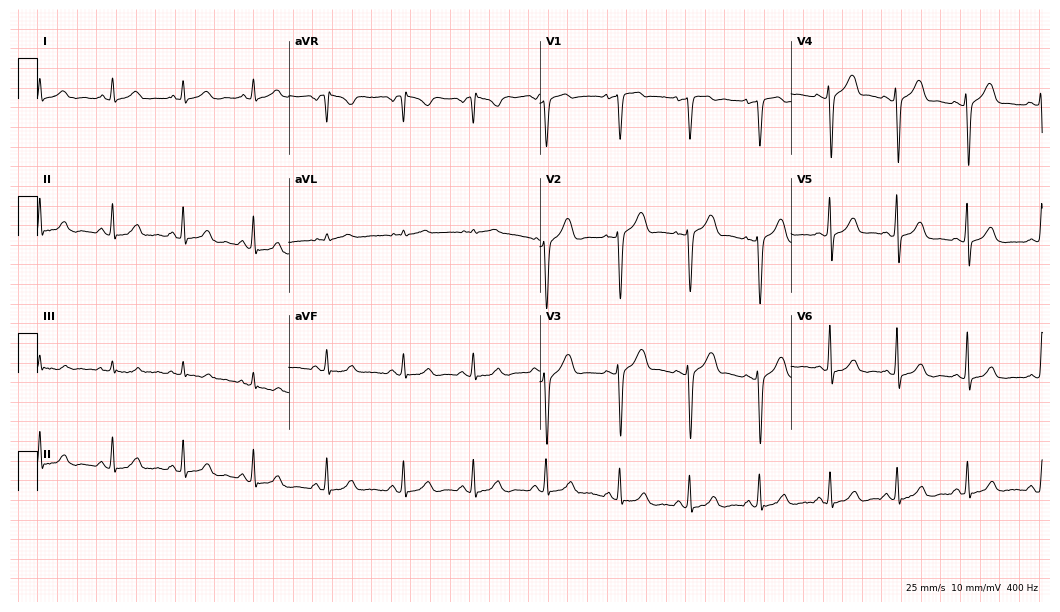
ECG (10.2-second recording at 400 Hz) — a 26-year-old female. Labelled as a normal ECG.